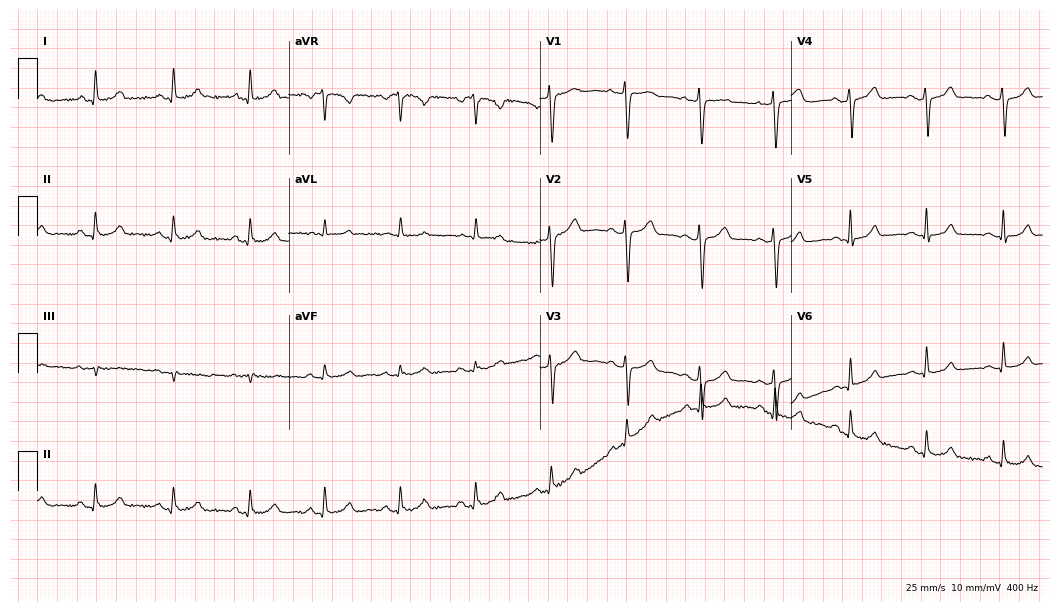
12-lead ECG from a female, 55 years old. Labelled as a normal ECG.